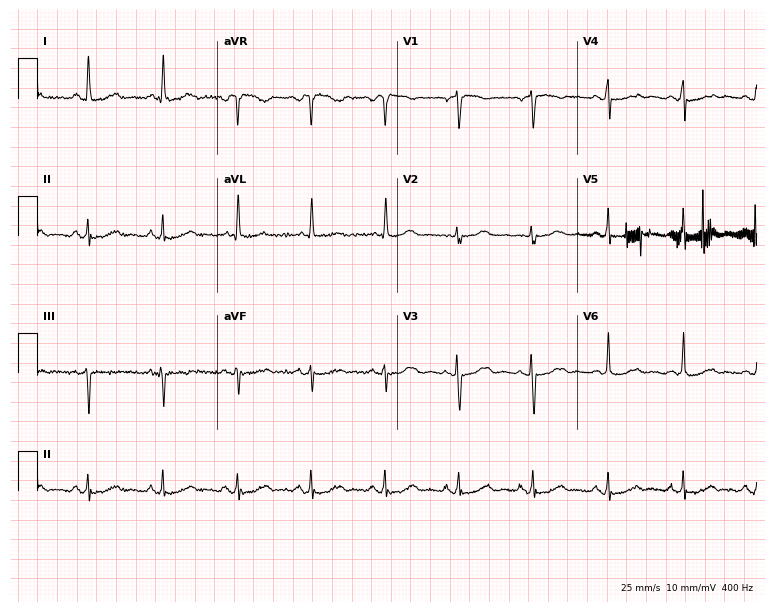
Standard 12-lead ECG recorded from a 76-year-old woman. None of these six findings is recorded: first-degree AV block, right bundle branch block, left bundle branch block, sinus bradycardia, atrial fibrillation, sinus tachycardia. Only these six findings were labelled.